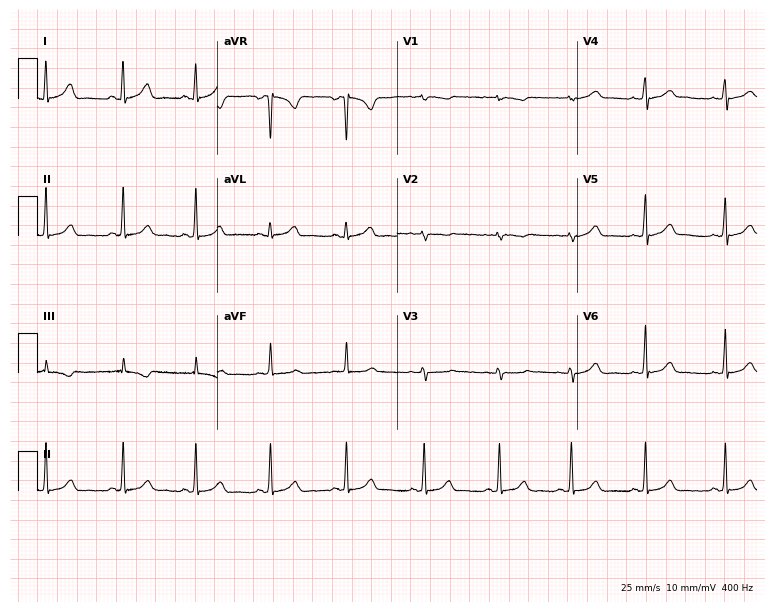
Electrocardiogram (7.3-second recording at 400 Hz), a woman, 26 years old. Overall reading on record: normal ECG.